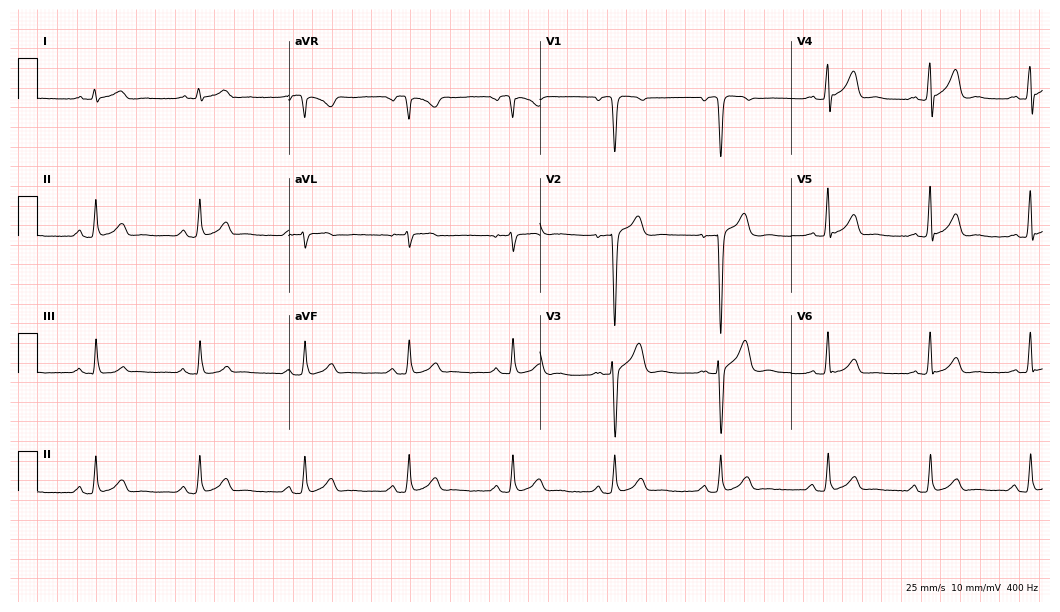
Resting 12-lead electrocardiogram (10.2-second recording at 400 Hz). Patient: a 38-year-old man. Read as a normal ECG.